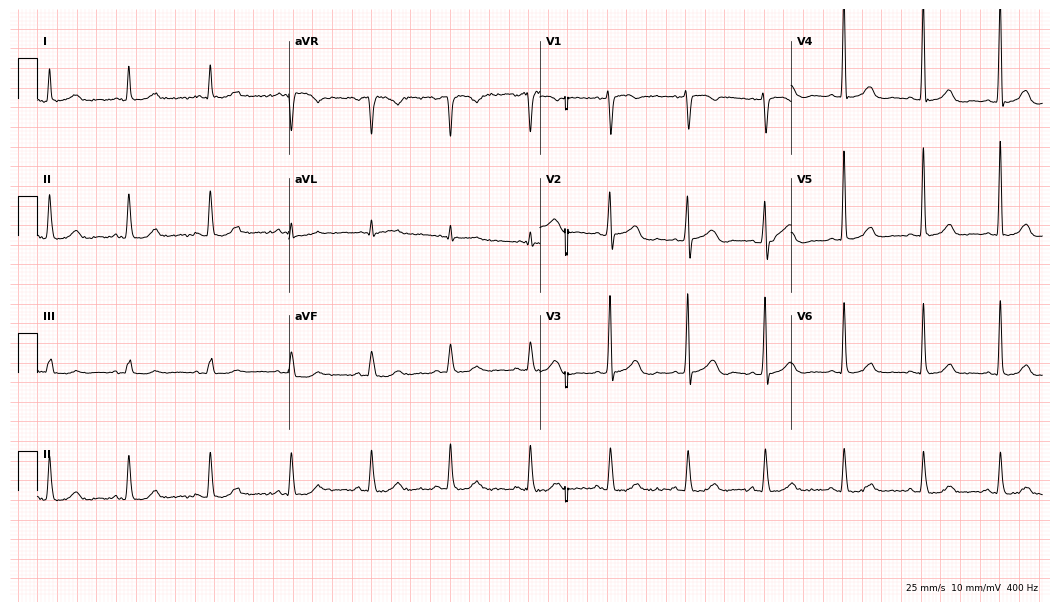
Resting 12-lead electrocardiogram (10.2-second recording at 400 Hz). Patient: a woman, 77 years old. Read as a normal ECG.